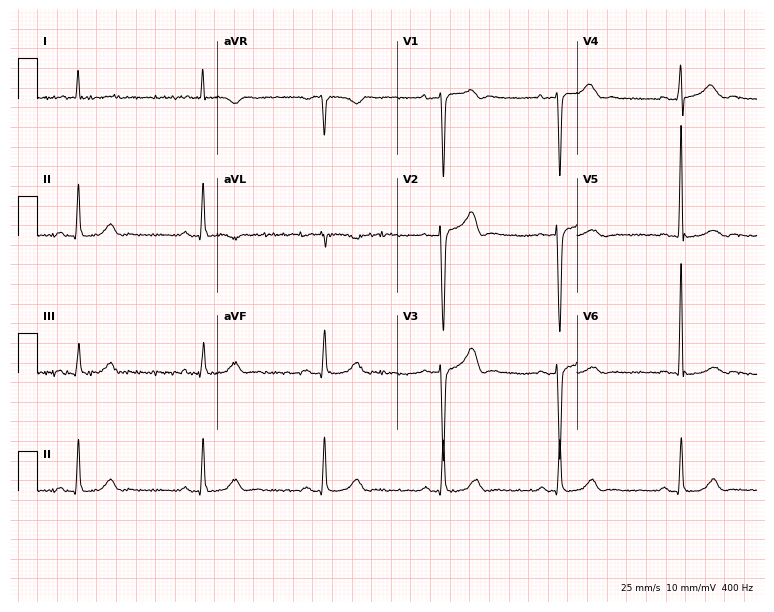
Resting 12-lead electrocardiogram (7.3-second recording at 400 Hz). Patient: a 68-year-old man. The tracing shows sinus bradycardia (a sinus rate of 50 beats per minute or less).